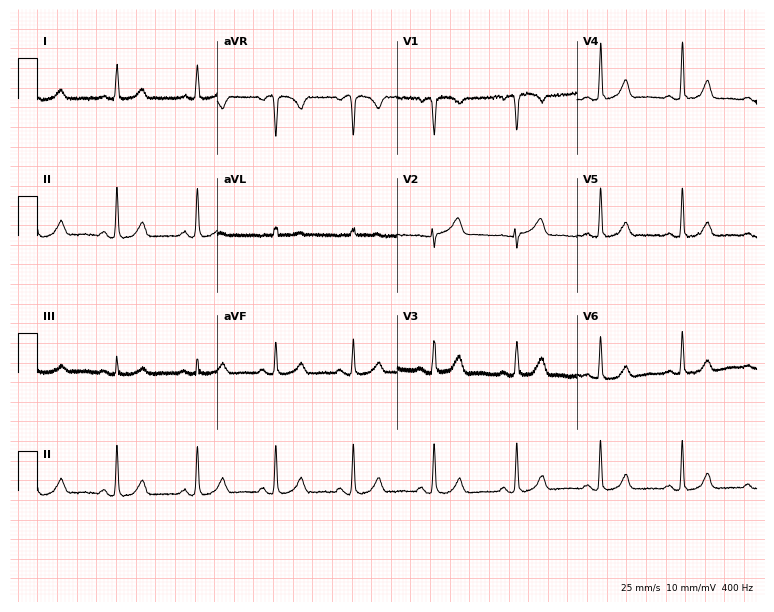
12-lead ECG from a female, 52 years old. Labelled as a normal ECG.